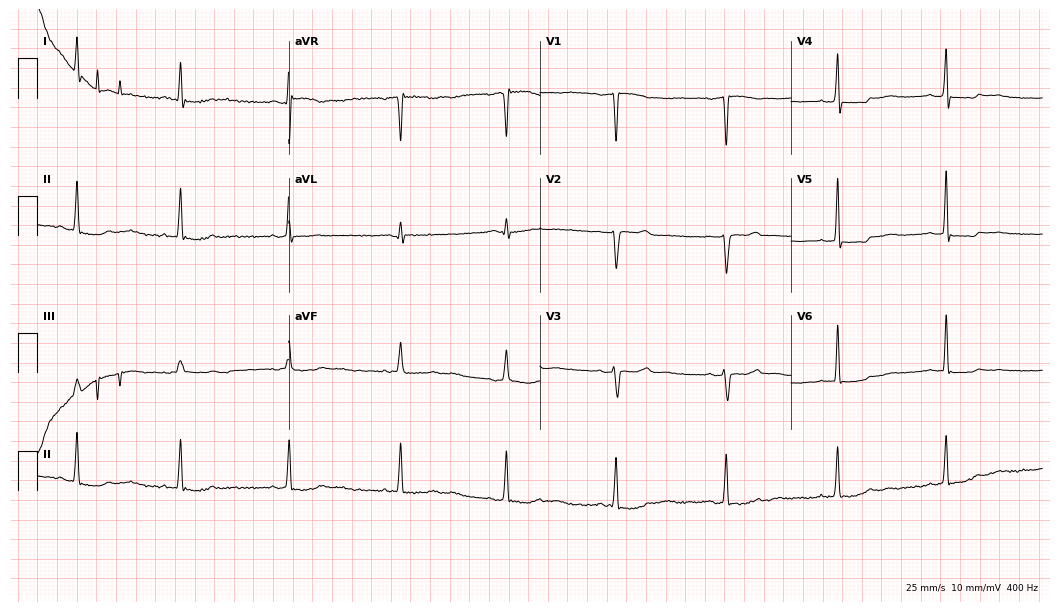
Electrocardiogram (10.2-second recording at 400 Hz), a female patient, 56 years old. Of the six screened findings (first-degree AV block, right bundle branch block, left bundle branch block, sinus bradycardia, atrial fibrillation, sinus tachycardia), none is recorded. Findings outside these six are not listed.